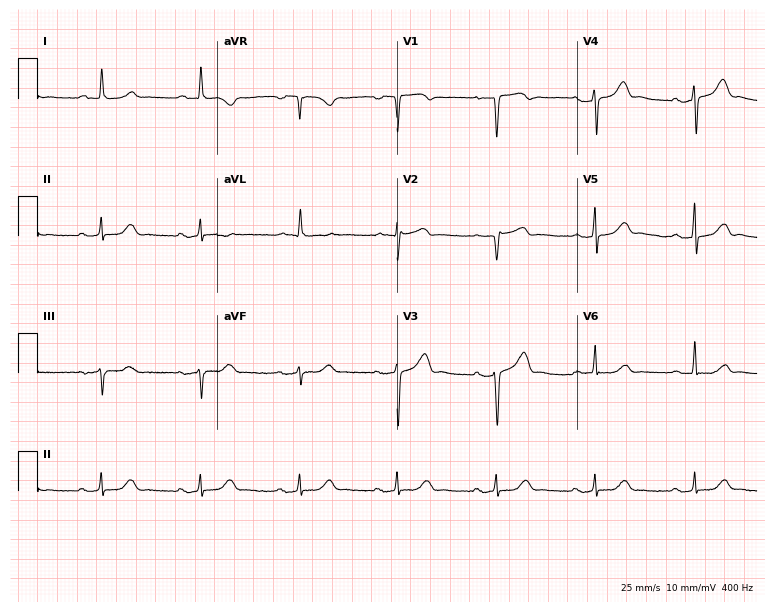
12-lead ECG from a 72-year-old woman. Screened for six findings — first-degree AV block, right bundle branch block, left bundle branch block, sinus bradycardia, atrial fibrillation, sinus tachycardia — none is recorded.